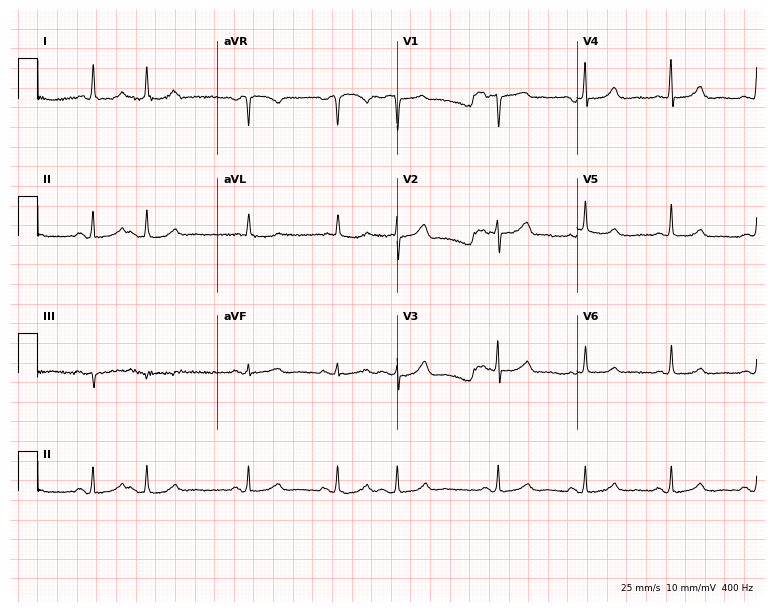
Standard 12-lead ECG recorded from a woman, 73 years old. None of these six findings is recorded: first-degree AV block, right bundle branch block (RBBB), left bundle branch block (LBBB), sinus bradycardia, atrial fibrillation (AF), sinus tachycardia.